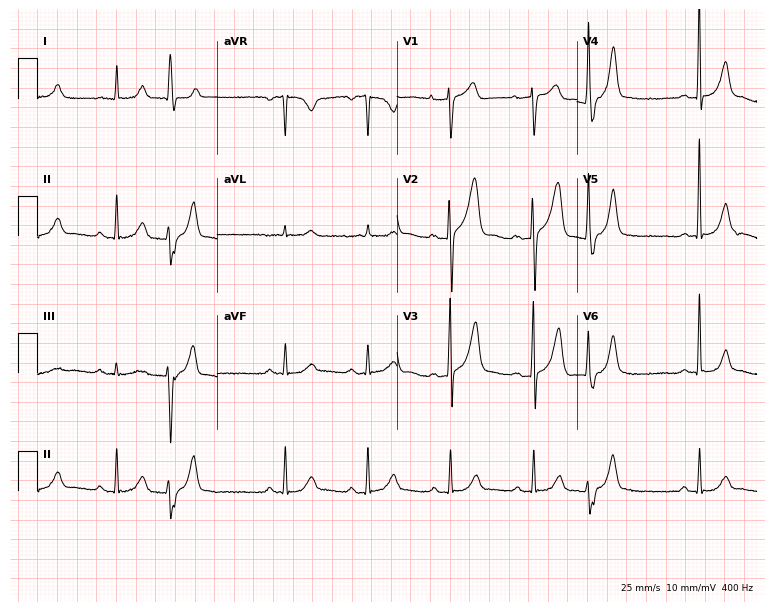
ECG — a 72-year-old male. Screened for six findings — first-degree AV block, right bundle branch block, left bundle branch block, sinus bradycardia, atrial fibrillation, sinus tachycardia — none is recorded.